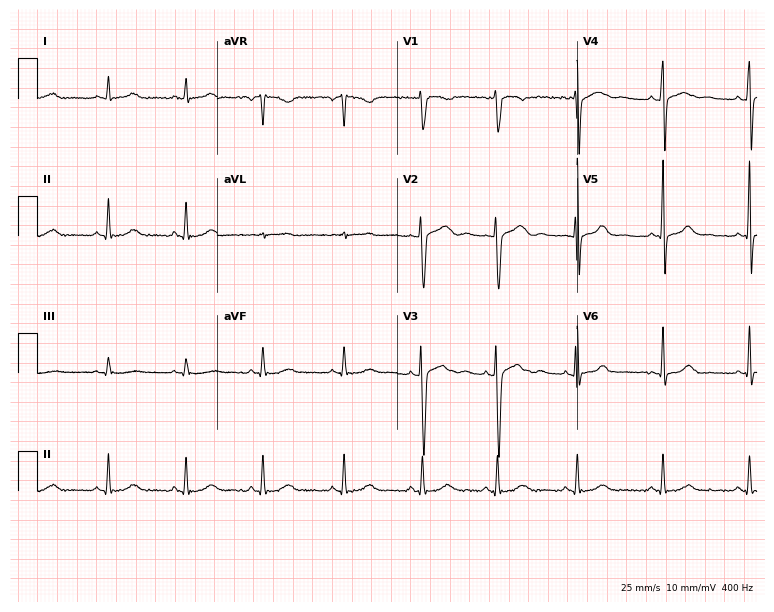
Electrocardiogram (7.3-second recording at 400 Hz), a female patient, 31 years old. Overall reading on record: normal ECG.